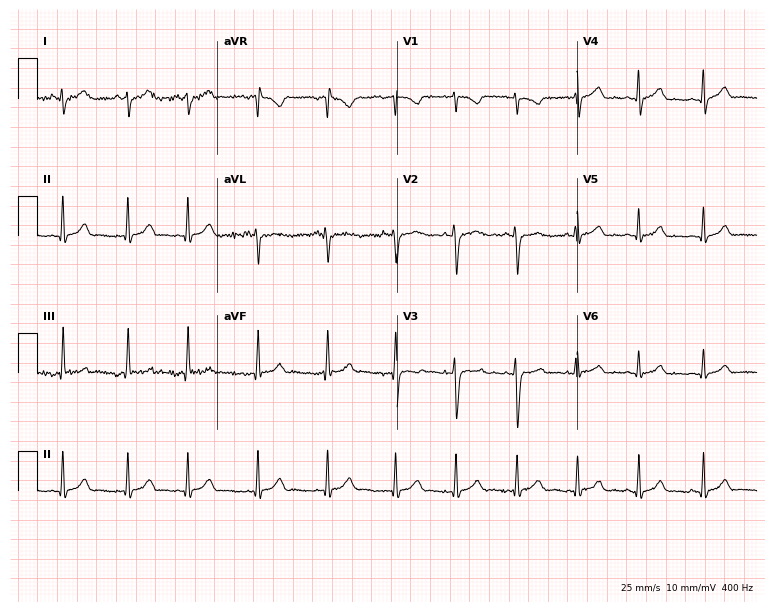
Standard 12-lead ECG recorded from an 18-year-old female patient (7.3-second recording at 400 Hz). None of these six findings is recorded: first-degree AV block, right bundle branch block, left bundle branch block, sinus bradycardia, atrial fibrillation, sinus tachycardia. Findings outside these six are not listed.